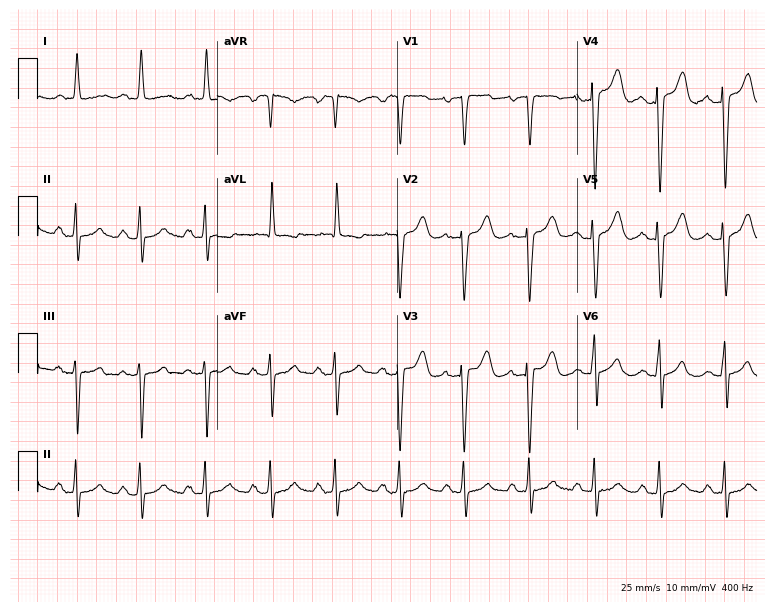
12-lead ECG from a woman, 66 years old. Screened for six findings — first-degree AV block, right bundle branch block, left bundle branch block, sinus bradycardia, atrial fibrillation, sinus tachycardia — none is recorded. Only these six findings were labelled.